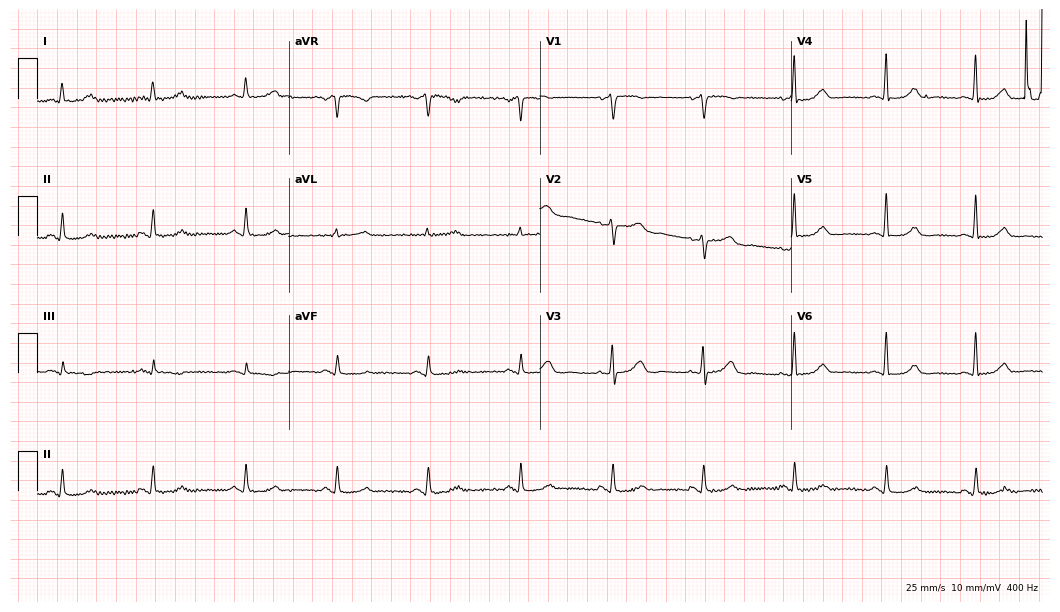
ECG (10.2-second recording at 400 Hz) — a female patient, 61 years old. Labelled as a normal ECG.